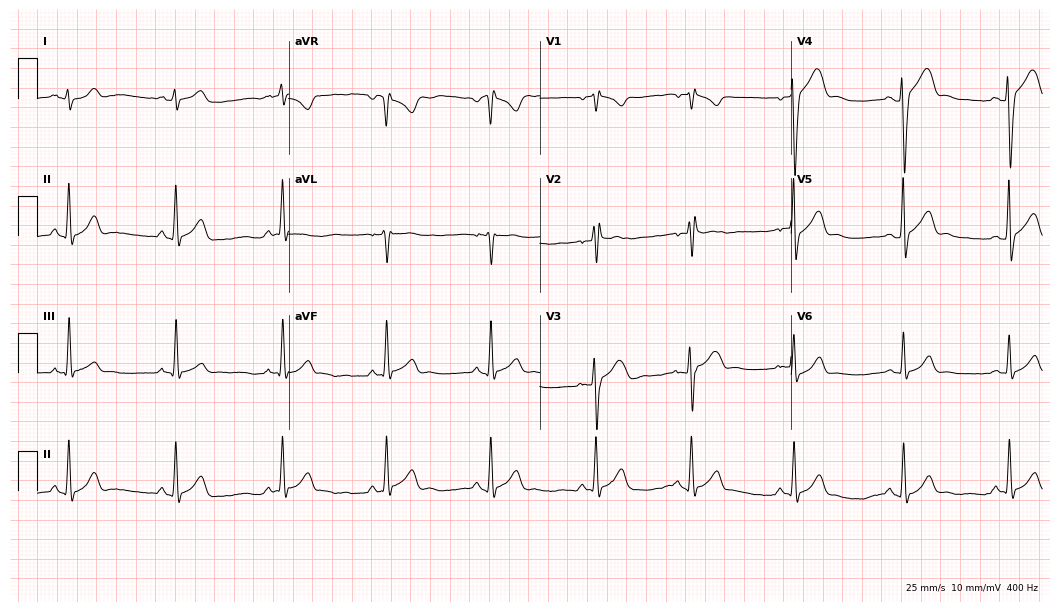
ECG — an 18-year-old man. Screened for six findings — first-degree AV block, right bundle branch block, left bundle branch block, sinus bradycardia, atrial fibrillation, sinus tachycardia — none is recorded. Only these six findings were labelled.